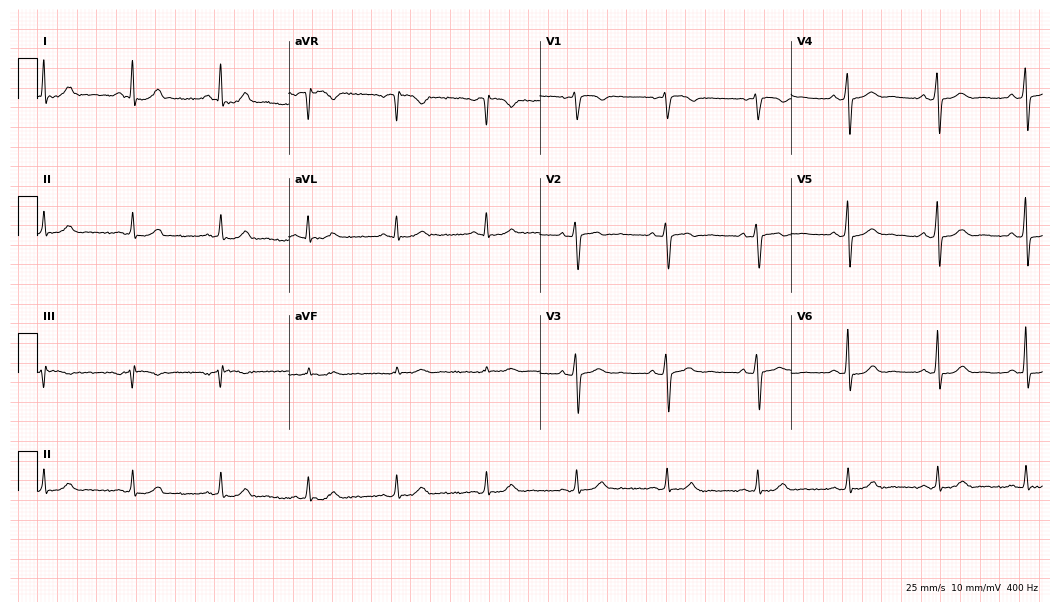
12-lead ECG from a 50-year-old man. Recorded interpretation: within normal limits.